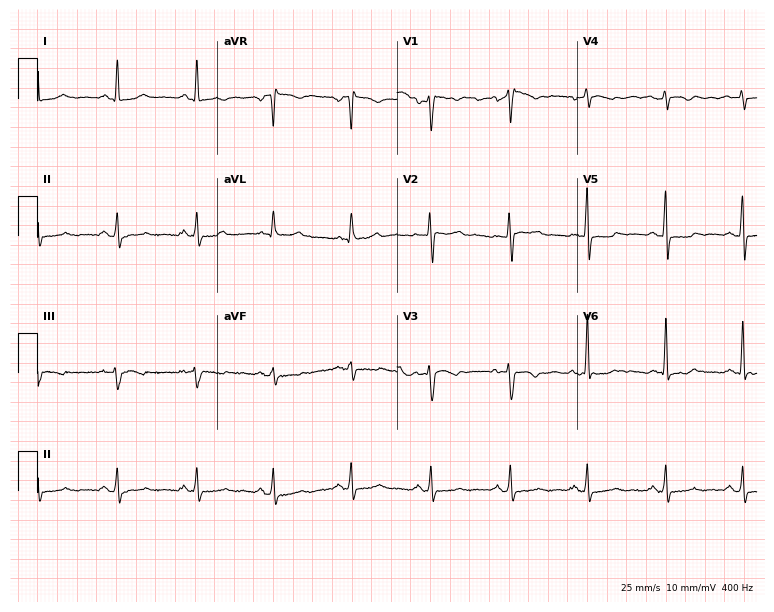
12-lead ECG from a 60-year-old woman. No first-degree AV block, right bundle branch block (RBBB), left bundle branch block (LBBB), sinus bradycardia, atrial fibrillation (AF) or sinus tachycardia recorded for this tracing.